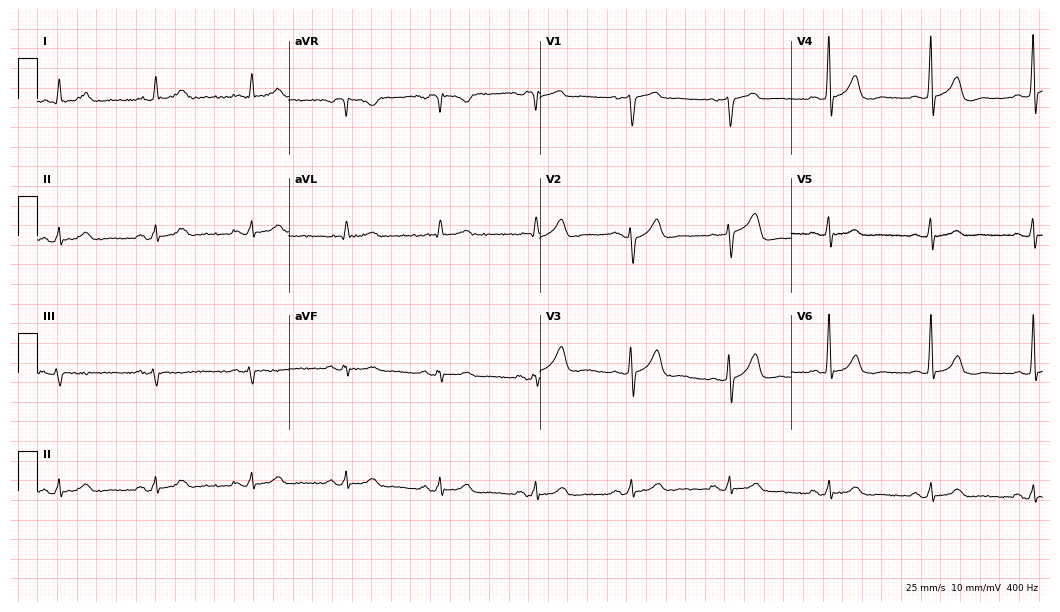
12-lead ECG (10.2-second recording at 400 Hz) from a 73-year-old man. Labelled as a normal ECG.